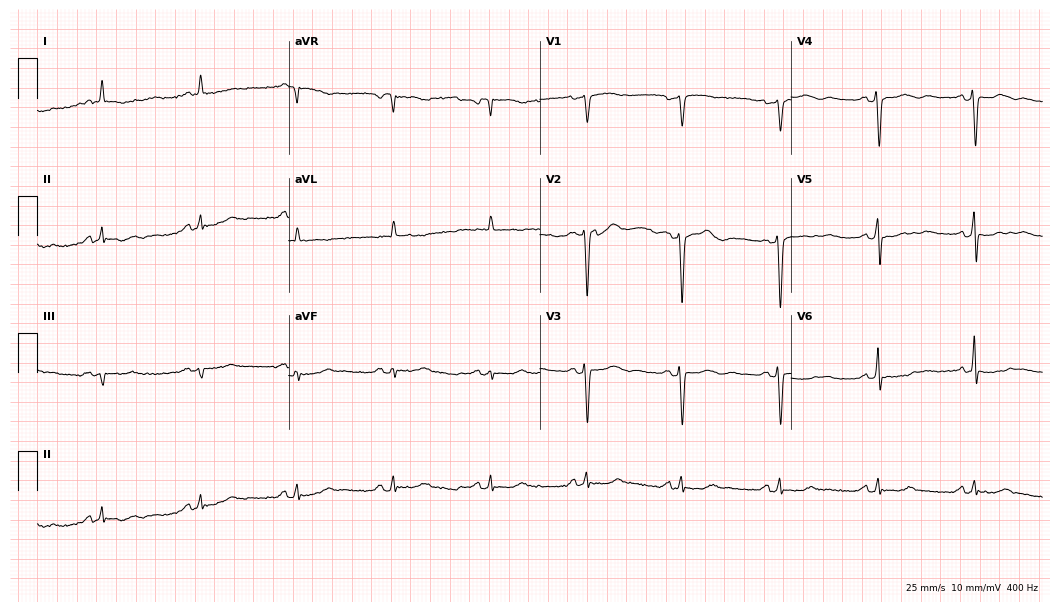
12-lead ECG from a woman, 71 years old. Labelled as a normal ECG.